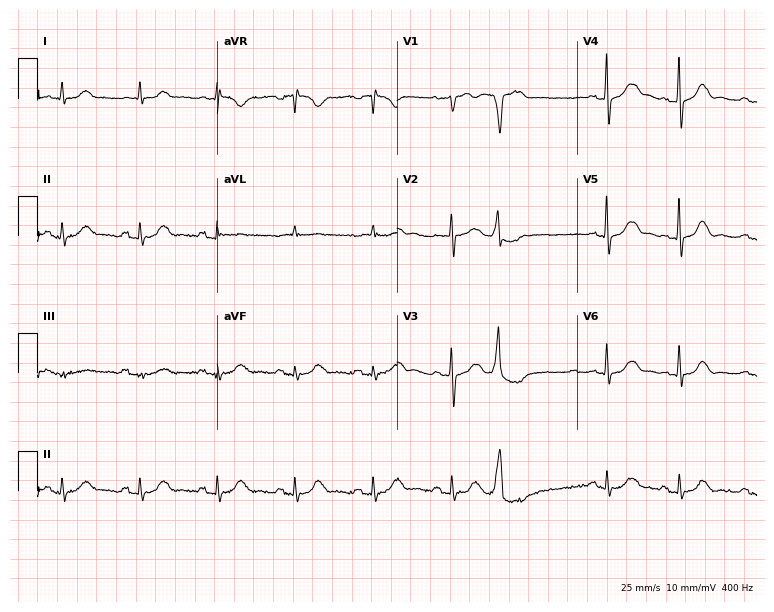
Standard 12-lead ECG recorded from a man, 82 years old (7.3-second recording at 400 Hz). None of these six findings is recorded: first-degree AV block, right bundle branch block (RBBB), left bundle branch block (LBBB), sinus bradycardia, atrial fibrillation (AF), sinus tachycardia.